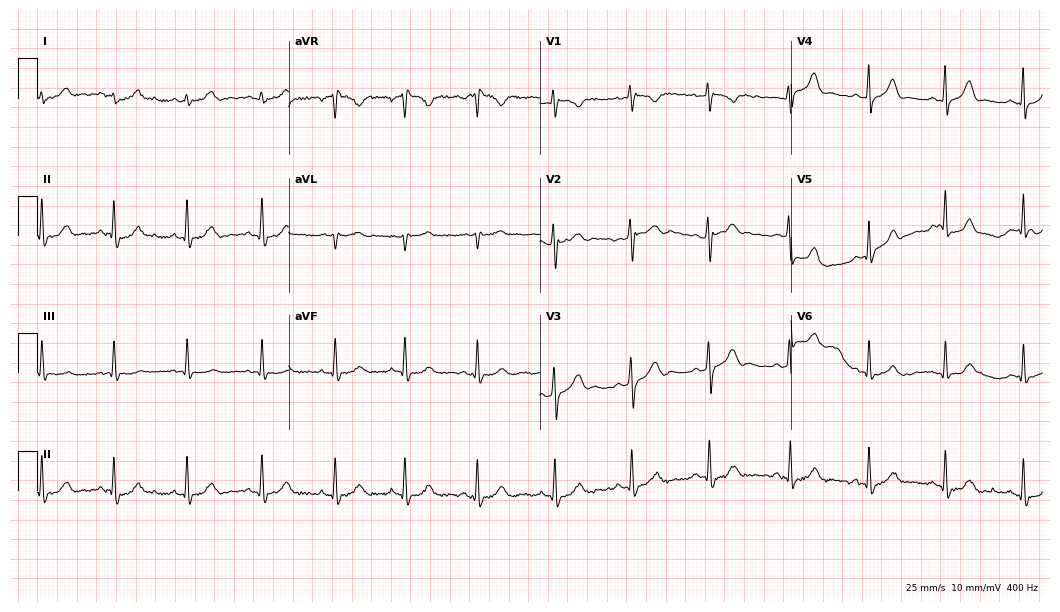
ECG — a woman, 22 years old. Screened for six findings — first-degree AV block, right bundle branch block, left bundle branch block, sinus bradycardia, atrial fibrillation, sinus tachycardia — none is recorded.